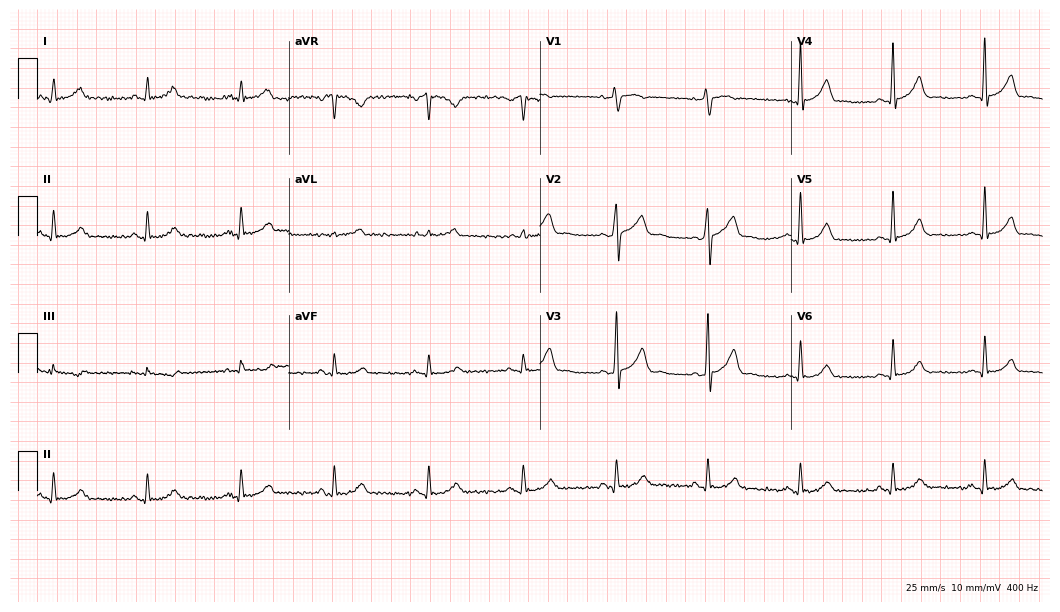
12-lead ECG (10.2-second recording at 400 Hz) from a 58-year-old man. Labelled as a normal ECG.